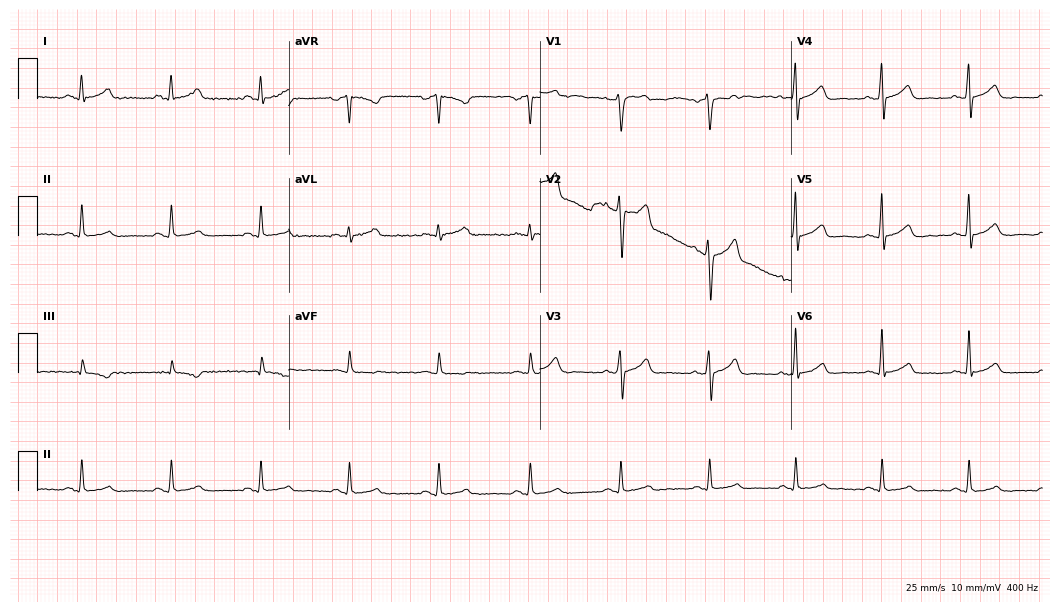
Electrocardiogram (10.2-second recording at 400 Hz), a 42-year-old male patient. Overall reading on record: normal ECG.